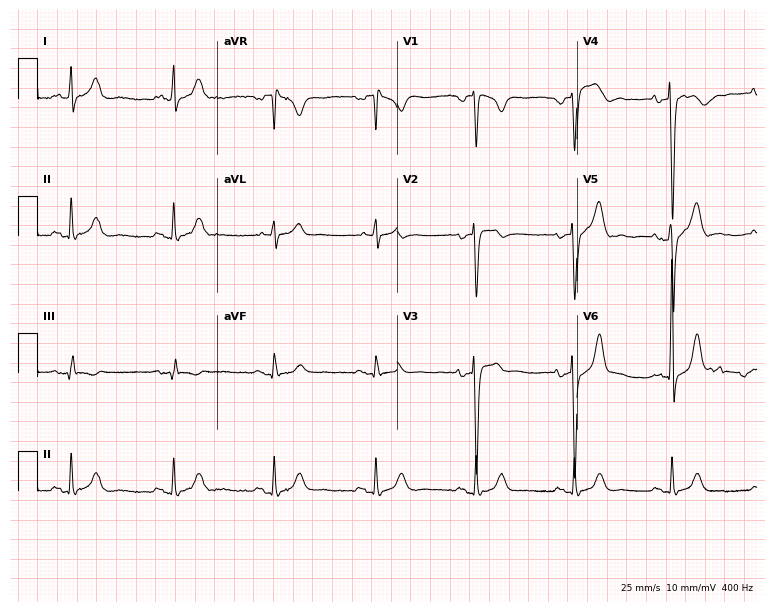
Electrocardiogram (7.3-second recording at 400 Hz), a 65-year-old man. Of the six screened findings (first-degree AV block, right bundle branch block (RBBB), left bundle branch block (LBBB), sinus bradycardia, atrial fibrillation (AF), sinus tachycardia), none is recorded. Only these six findings were labelled.